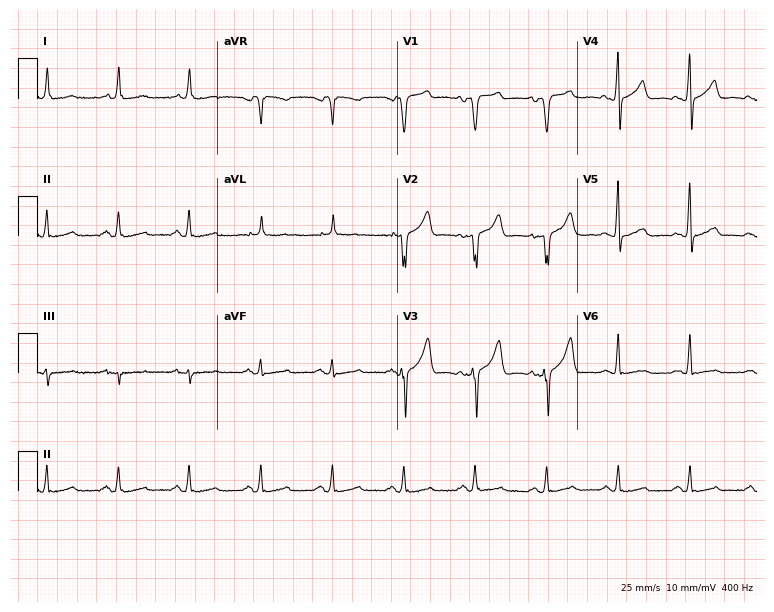
12-lead ECG (7.3-second recording at 400 Hz) from a male, 59 years old. Screened for six findings — first-degree AV block, right bundle branch block, left bundle branch block, sinus bradycardia, atrial fibrillation, sinus tachycardia — none is recorded.